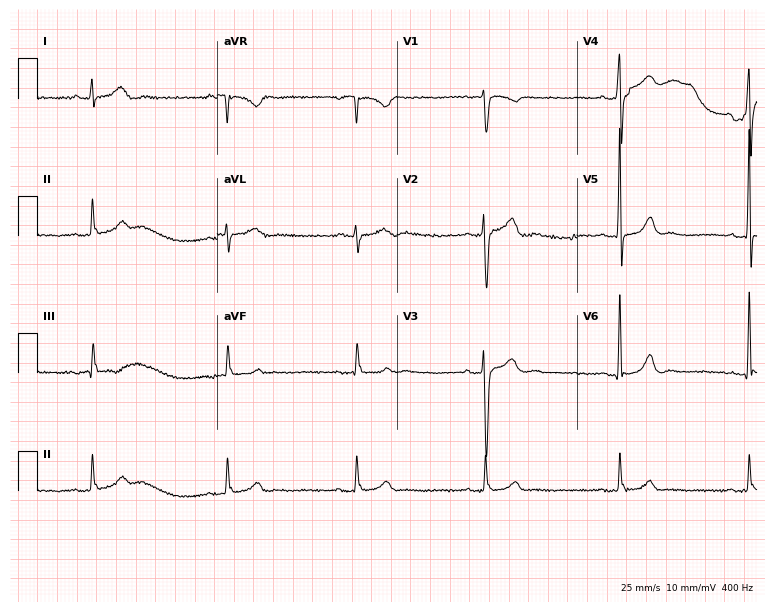
Standard 12-lead ECG recorded from a man, 35 years old (7.3-second recording at 400 Hz). The tracing shows sinus bradycardia (a sinus rate of 50 beats per minute or less).